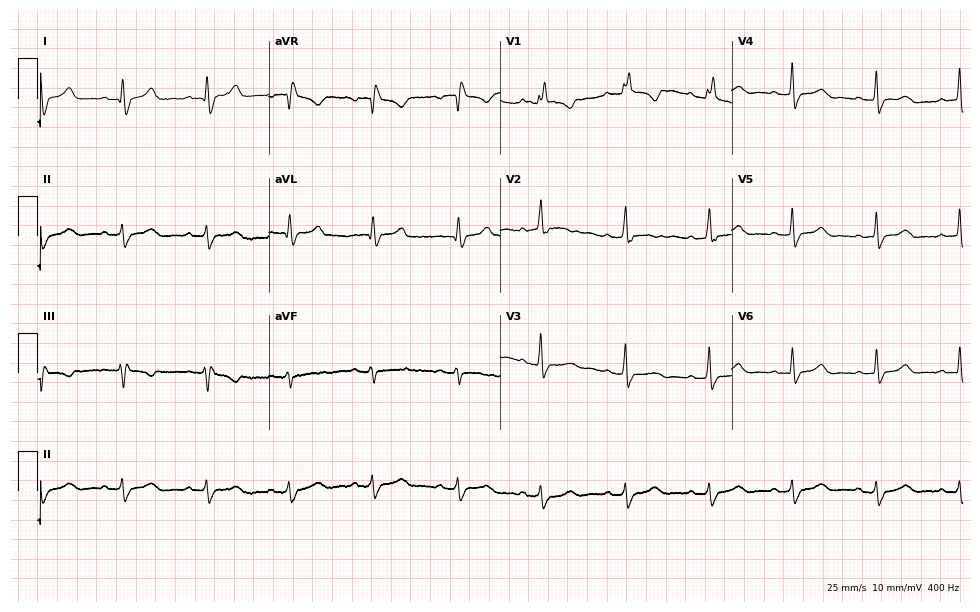
ECG (9.4-second recording at 400 Hz) — a 43-year-old female patient. Findings include right bundle branch block.